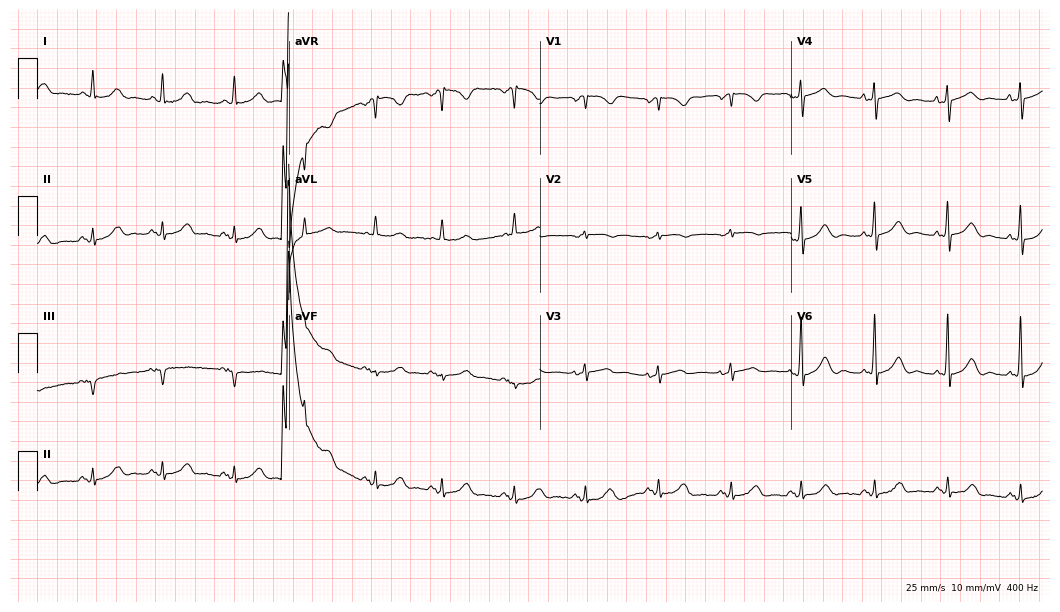
ECG (10.2-second recording at 400 Hz) — a 45-year-old male. Labelled as a normal ECG.